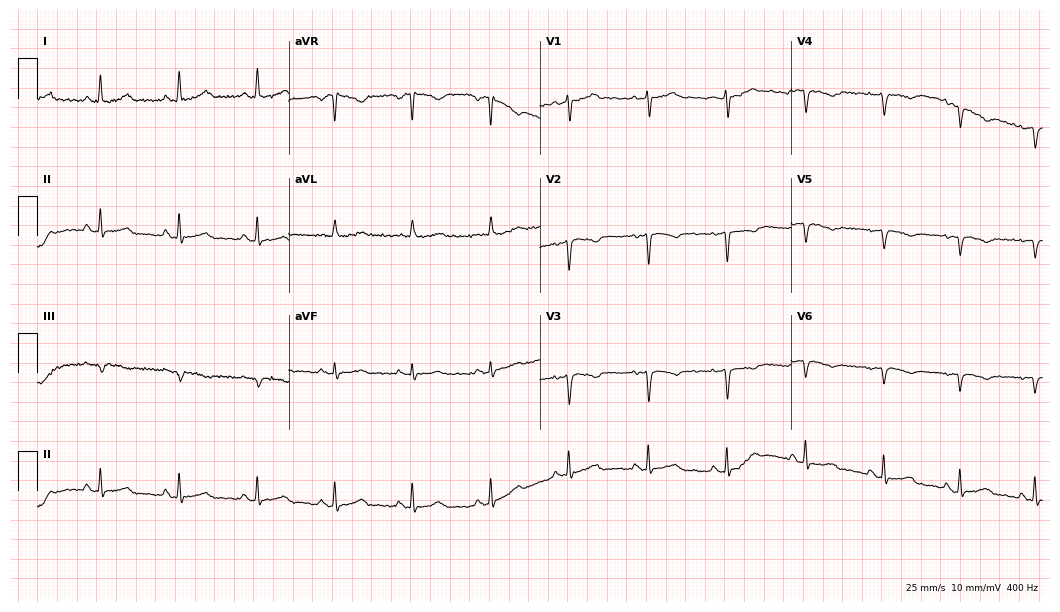
Standard 12-lead ECG recorded from a 51-year-old female patient (10.2-second recording at 400 Hz). None of these six findings is recorded: first-degree AV block, right bundle branch block (RBBB), left bundle branch block (LBBB), sinus bradycardia, atrial fibrillation (AF), sinus tachycardia. Only these six findings were labelled.